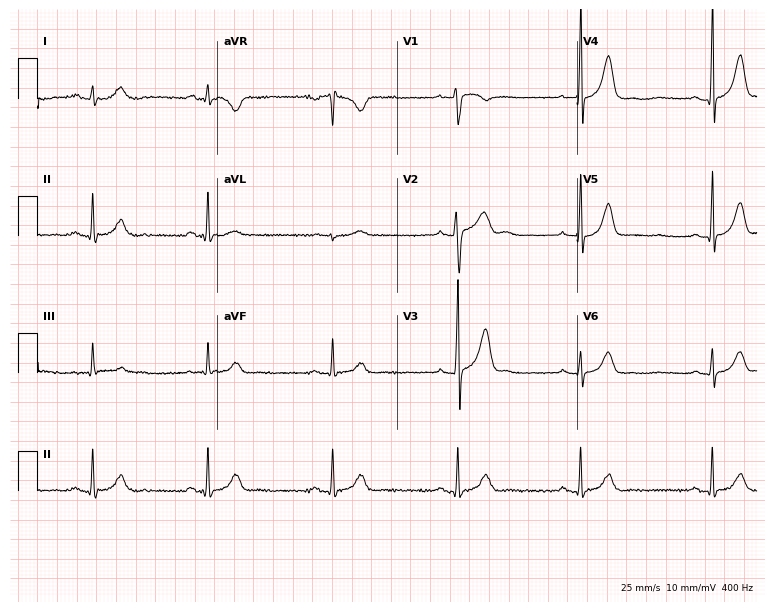
Resting 12-lead electrocardiogram. Patient: a man, 33 years old. The tracing shows sinus bradycardia (a sinus rate of 50 beats per minute or less).